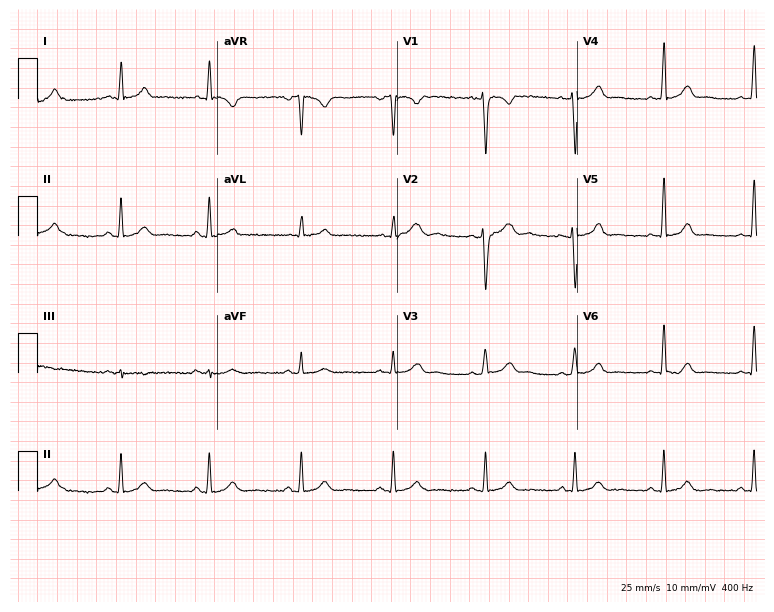
Standard 12-lead ECG recorded from a female patient, 38 years old. Read as a normal ECG.